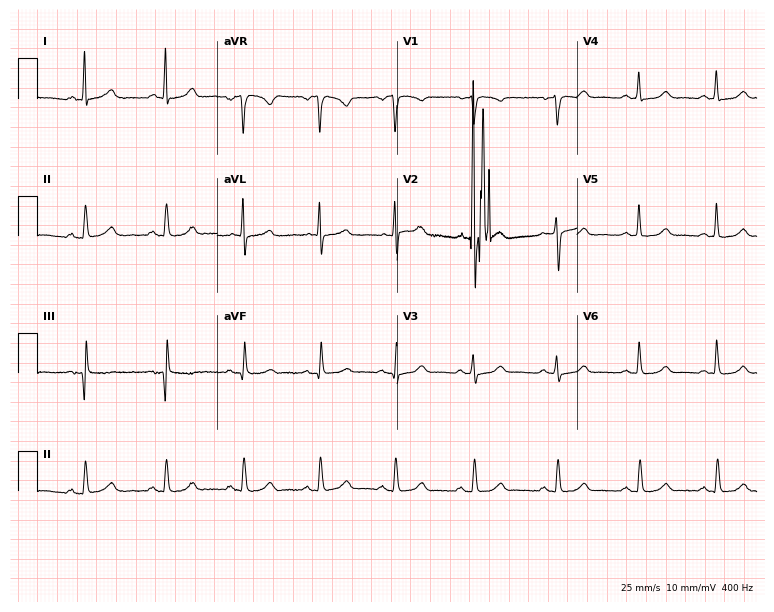
12-lead ECG from a 61-year-old female patient (7.3-second recording at 400 Hz). Recorded interpretation: within normal limits.